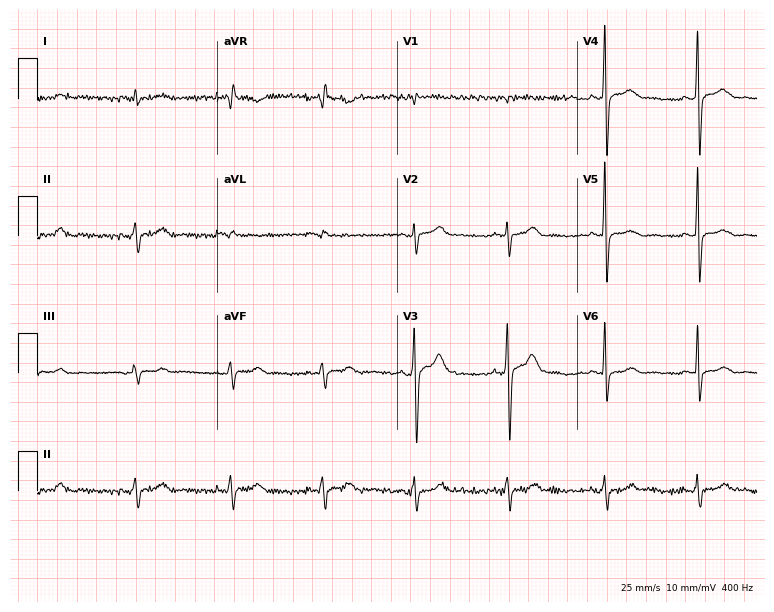
12-lead ECG from a male, 42 years old (7.3-second recording at 400 Hz). No first-degree AV block, right bundle branch block, left bundle branch block, sinus bradycardia, atrial fibrillation or sinus tachycardia recorded for this tracing. Findings outside these six are not listed.